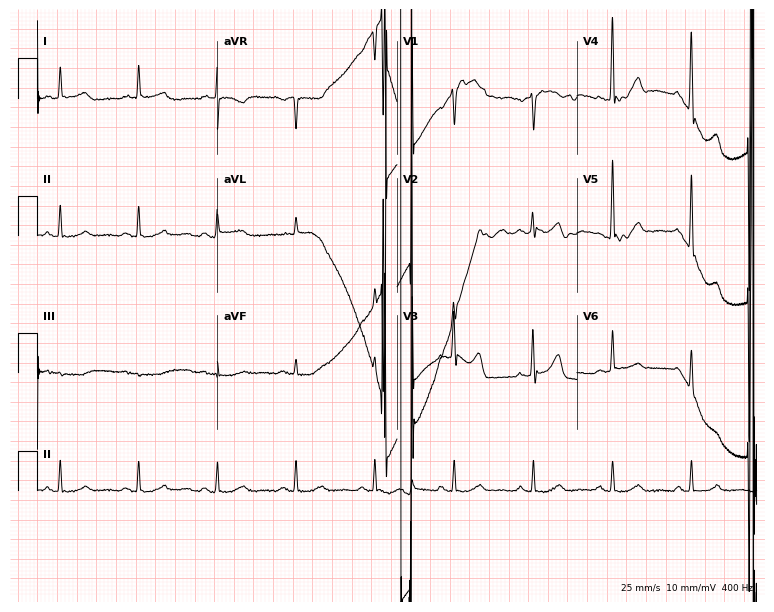
Standard 12-lead ECG recorded from a 65-year-old male (7.3-second recording at 400 Hz). None of these six findings is recorded: first-degree AV block, right bundle branch block, left bundle branch block, sinus bradycardia, atrial fibrillation, sinus tachycardia.